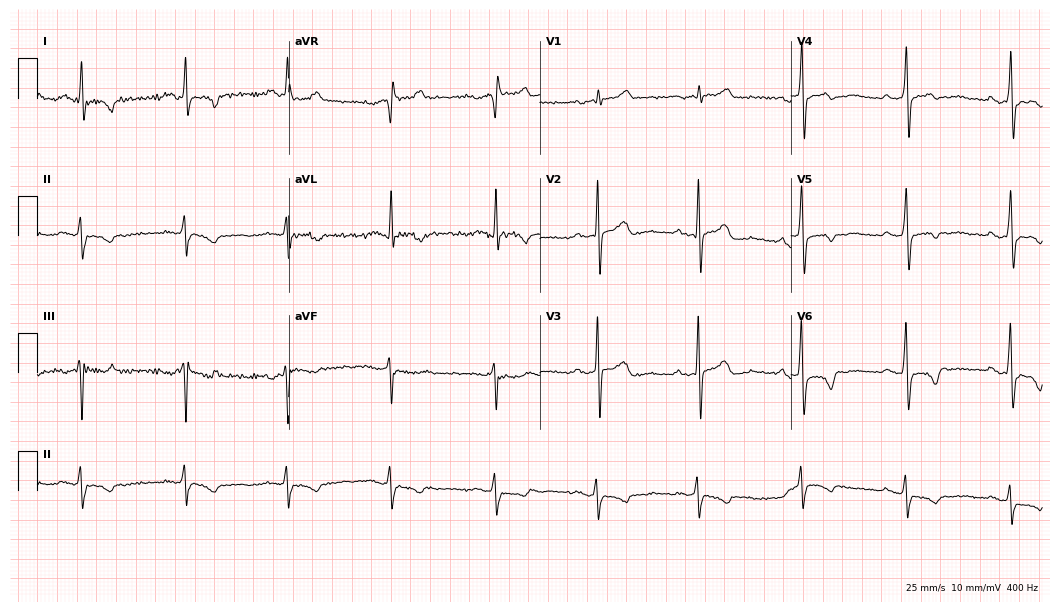
Standard 12-lead ECG recorded from an 83-year-old man (10.2-second recording at 400 Hz). None of these six findings is recorded: first-degree AV block, right bundle branch block, left bundle branch block, sinus bradycardia, atrial fibrillation, sinus tachycardia. Only these six findings were labelled.